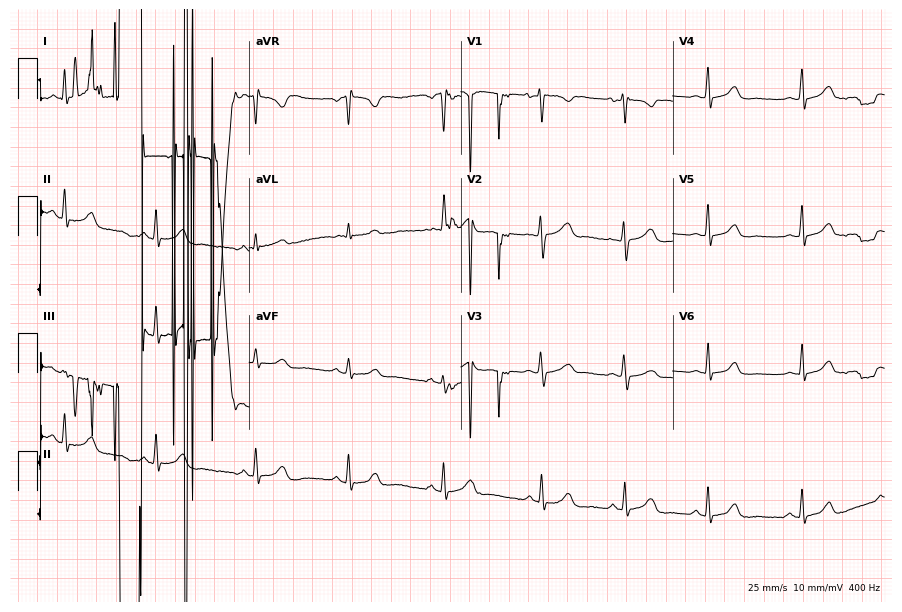
12-lead ECG (8.6-second recording at 400 Hz) from a 23-year-old female patient. Screened for six findings — first-degree AV block, right bundle branch block (RBBB), left bundle branch block (LBBB), sinus bradycardia, atrial fibrillation (AF), sinus tachycardia — none is recorded.